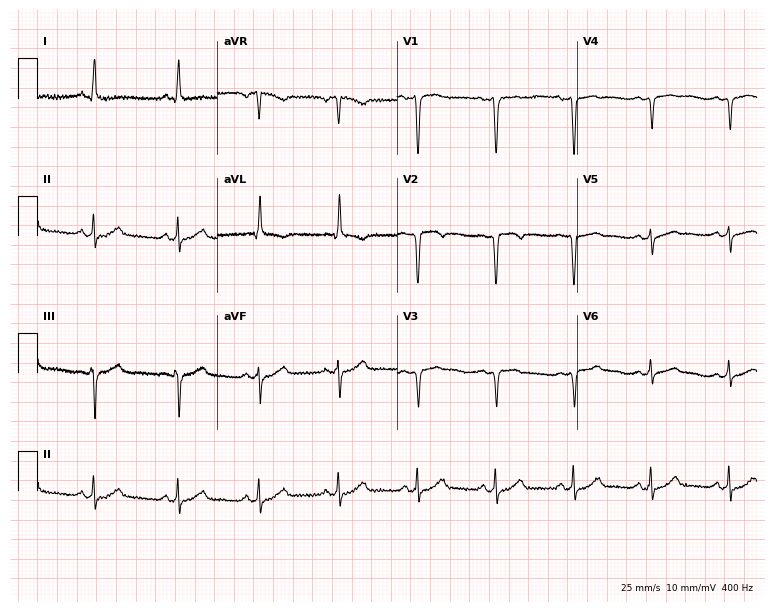
12-lead ECG (7.3-second recording at 400 Hz) from a 54-year-old male. Screened for six findings — first-degree AV block, right bundle branch block, left bundle branch block, sinus bradycardia, atrial fibrillation, sinus tachycardia — none is recorded. Findings outside these six are not listed.